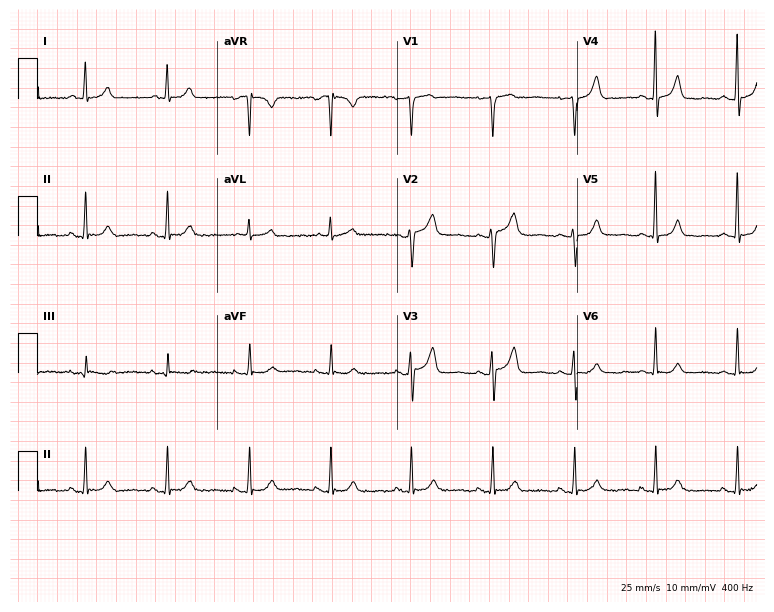
Resting 12-lead electrocardiogram (7.3-second recording at 400 Hz). Patient: a 53-year-old woman. Read as a normal ECG.